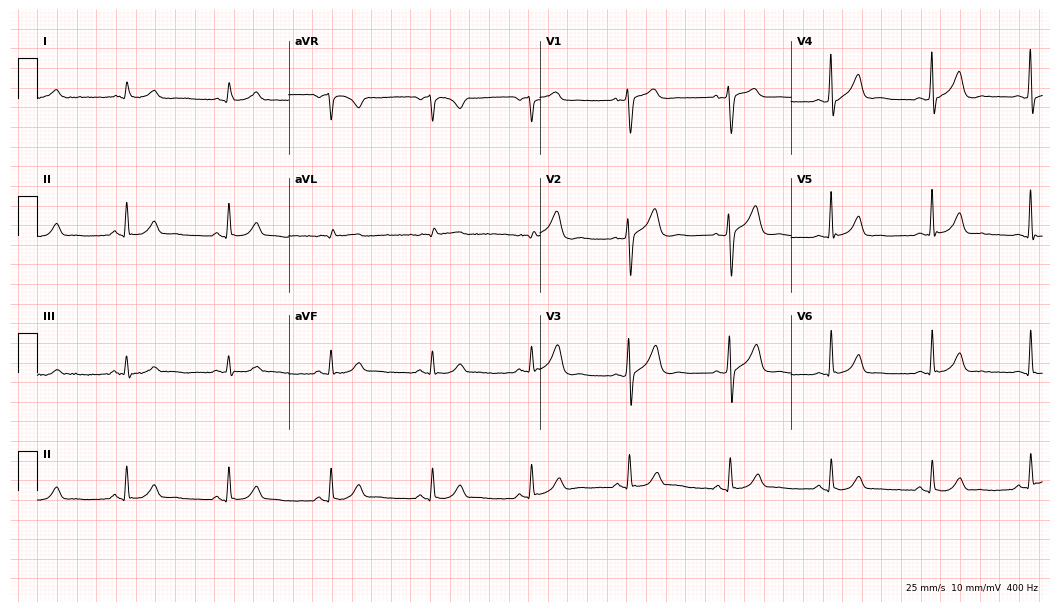
Standard 12-lead ECG recorded from a 60-year-old male. Read as a normal ECG.